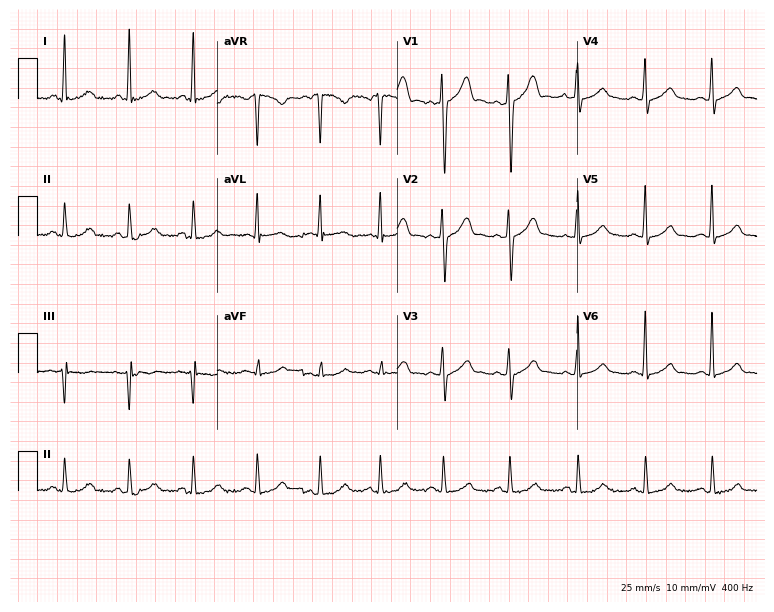
12-lead ECG from a male, 42 years old. Labelled as a normal ECG.